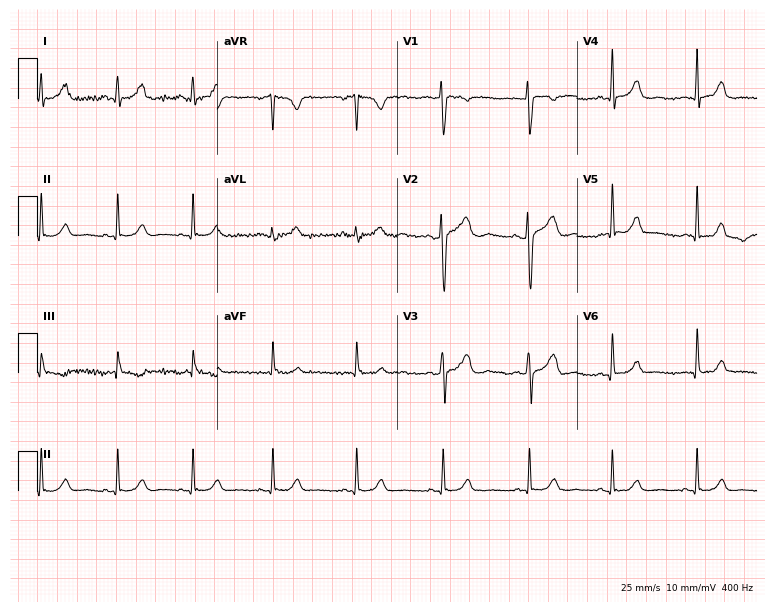
12-lead ECG from a 29-year-old female patient. Labelled as a normal ECG.